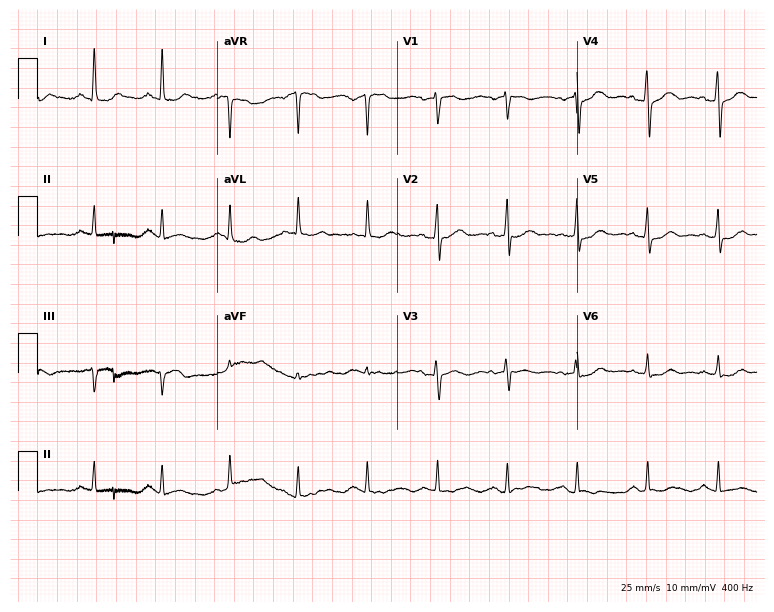
ECG (7.3-second recording at 400 Hz) — a female, 60 years old. Labelled as a normal ECG.